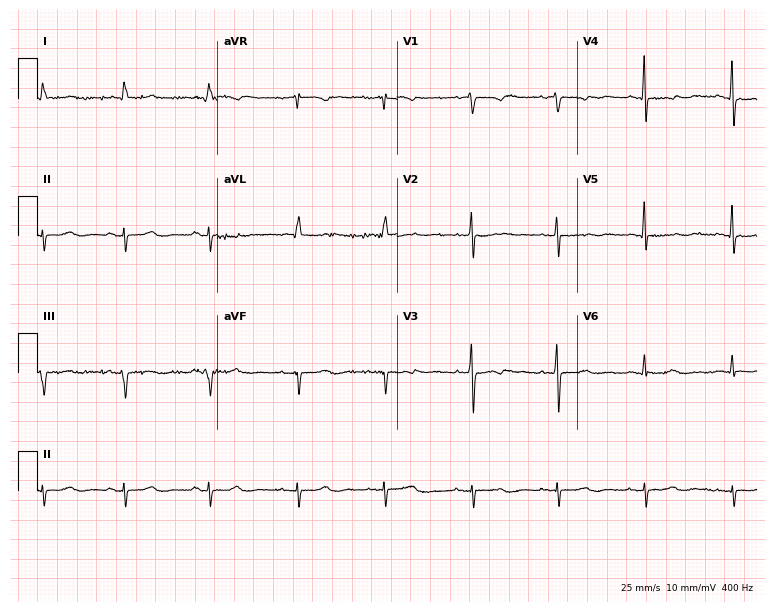
12-lead ECG from a female, 85 years old. No first-degree AV block, right bundle branch block, left bundle branch block, sinus bradycardia, atrial fibrillation or sinus tachycardia recorded for this tracing.